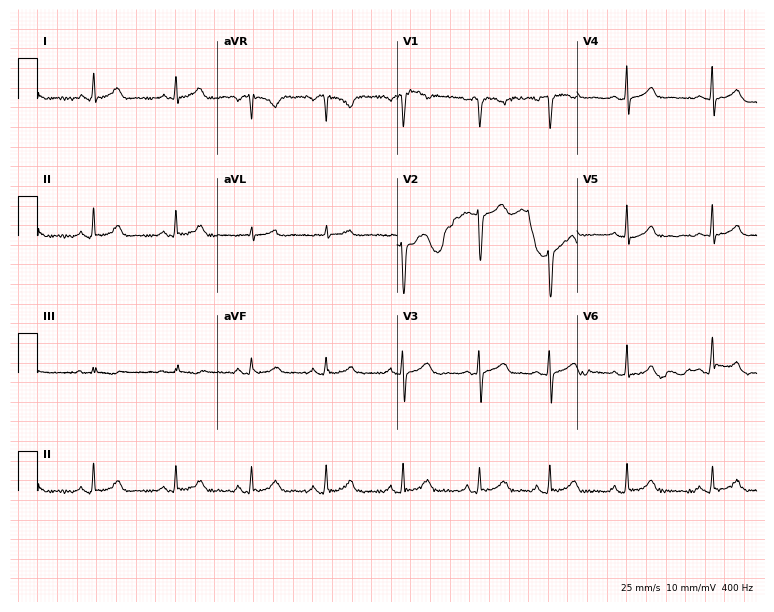
Resting 12-lead electrocardiogram. Patient: a woman, 24 years old. Read as a normal ECG.